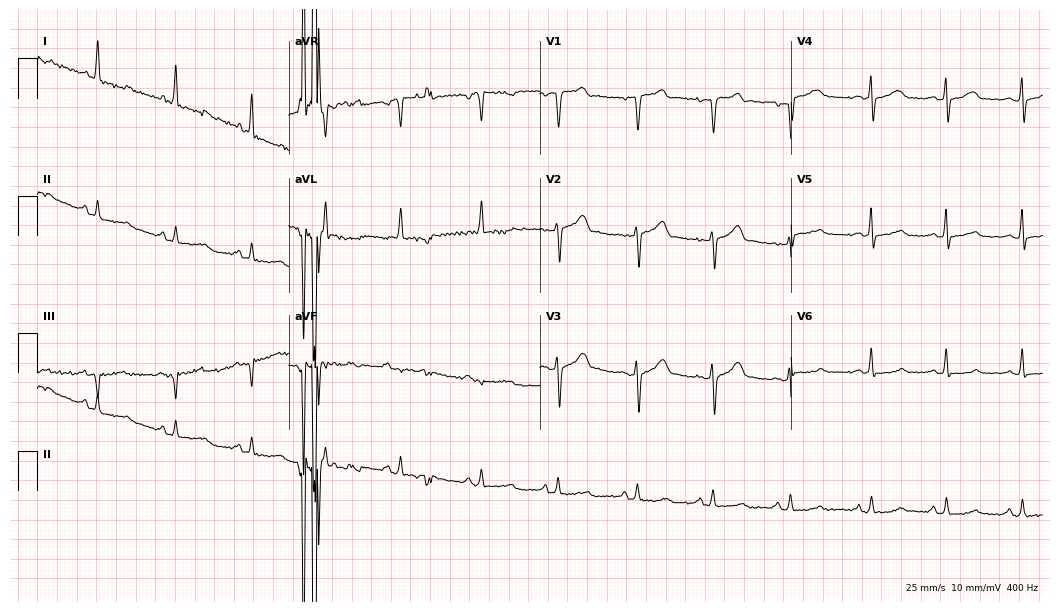
Electrocardiogram (10.2-second recording at 400 Hz), a 71-year-old female. Of the six screened findings (first-degree AV block, right bundle branch block (RBBB), left bundle branch block (LBBB), sinus bradycardia, atrial fibrillation (AF), sinus tachycardia), none is recorded. Only these six findings were labelled.